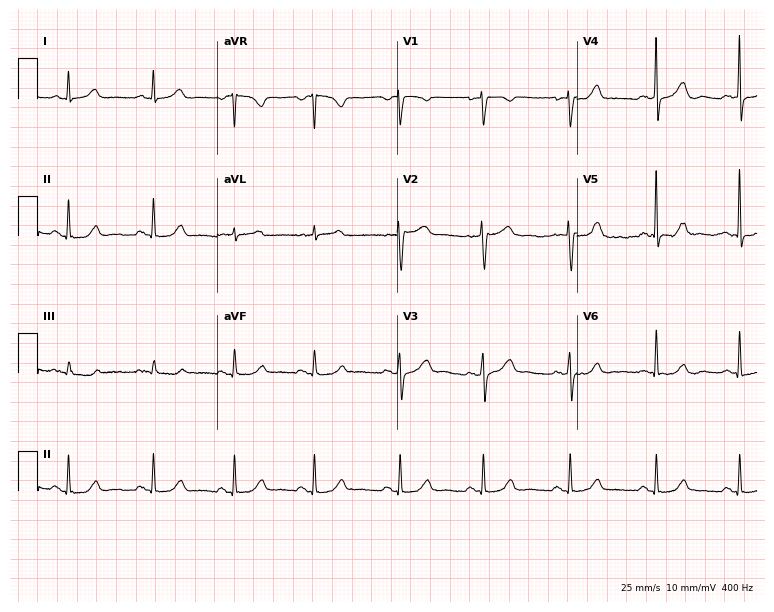
Standard 12-lead ECG recorded from a woman, 46 years old (7.3-second recording at 400 Hz). None of these six findings is recorded: first-degree AV block, right bundle branch block, left bundle branch block, sinus bradycardia, atrial fibrillation, sinus tachycardia. Only these six findings were labelled.